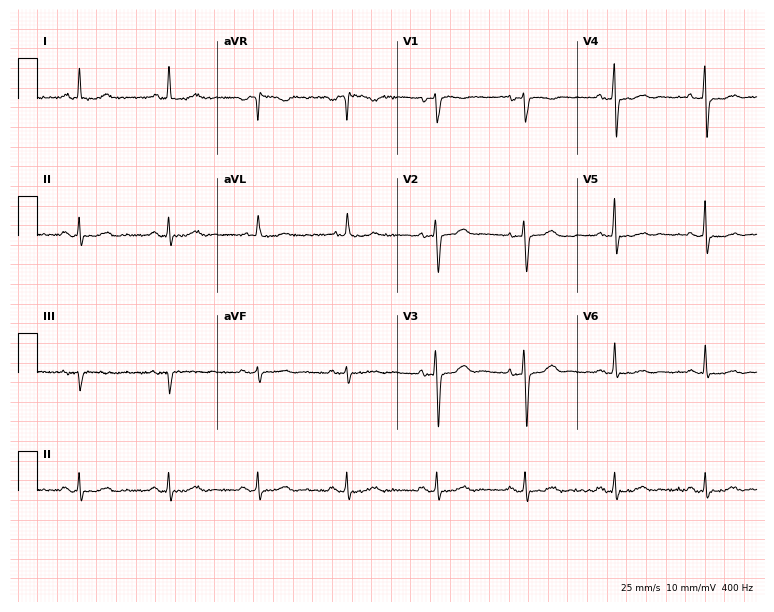
Electrocardiogram, a 65-year-old female. Of the six screened findings (first-degree AV block, right bundle branch block, left bundle branch block, sinus bradycardia, atrial fibrillation, sinus tachycardia), none is recorded.